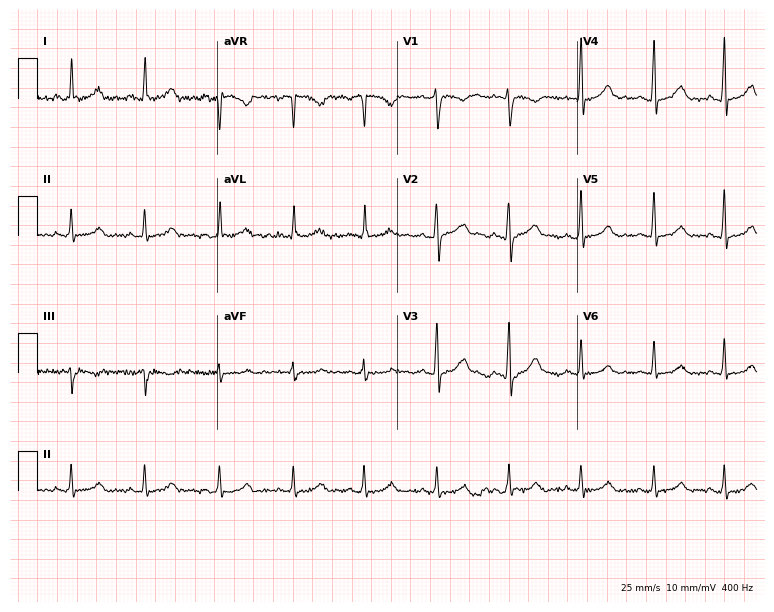
Resting 12-lead electrocardiogram. Patient: a female, 31 years old. None of these six findings is recorded: first-degree AV block, right bundle branch block, left bundle branch block, sinus bradycardia, atrial fibrillation, sinus tachycardia.